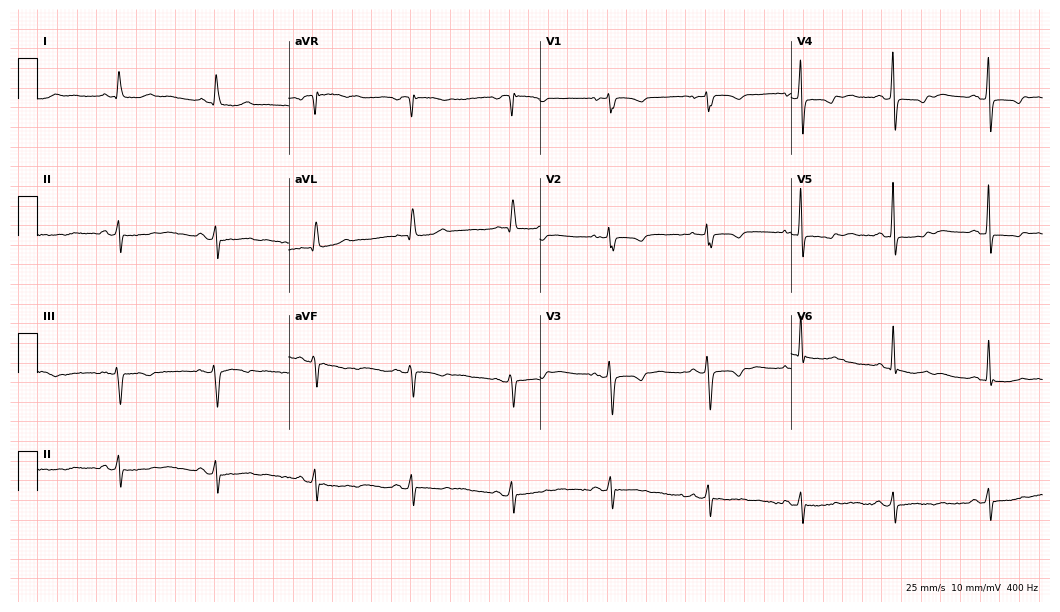
12-lead ECG from a 76-year-old female patient. No first-degree AV block, right bundle branch block, left bundle branch block, sinus bradycardia, atrial fibrillation or sinus tachycardia recorded for this tracing. Findings outside these six are not listed.